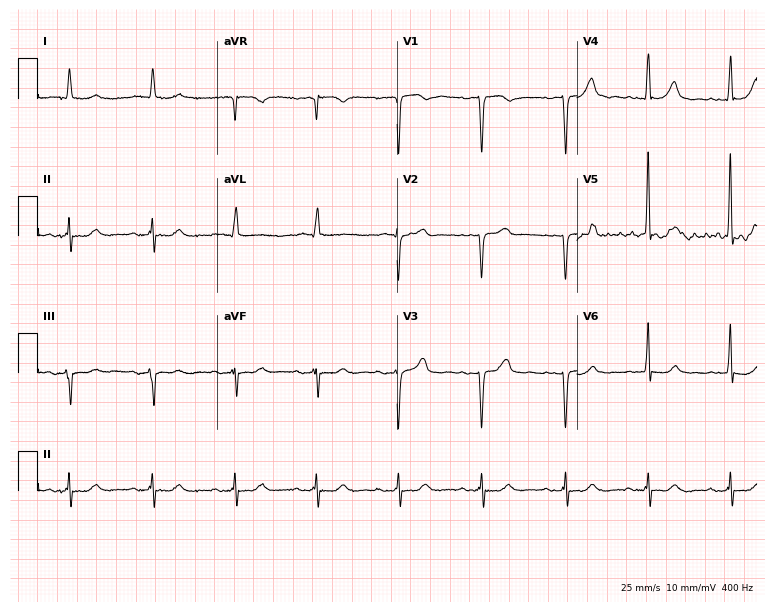
Resting 12-lead electrocardiogram (7.3-second recording at 400 Hz). Patient: an 85-year-old male. Read as a normal ECG.